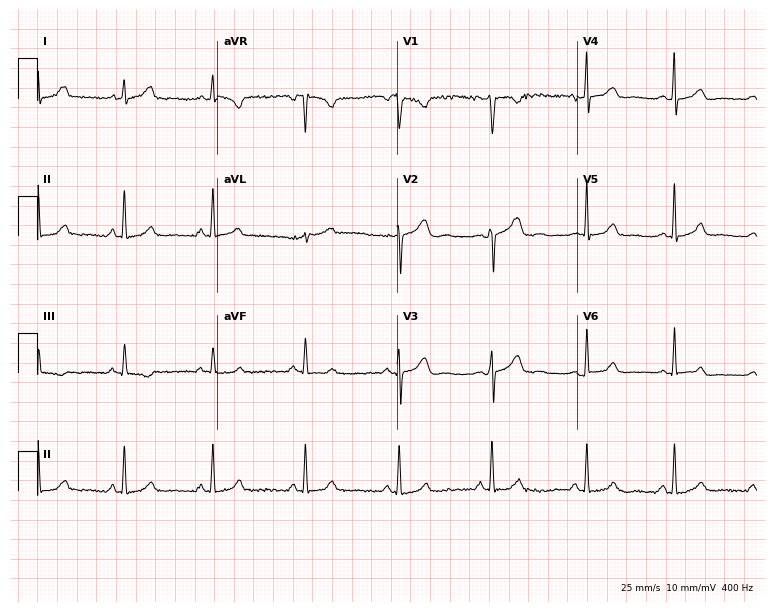
12-lead ECG (7.3-second recording at 400 Hz) from a 30-year-old female. Screened for six findings — first-degree AV block, right bundle branch block, left bundle branch block, sinus bradycardia, atrial fibrillation, sinus tachycardia — none is recorded. Findings outside these six are not listed.